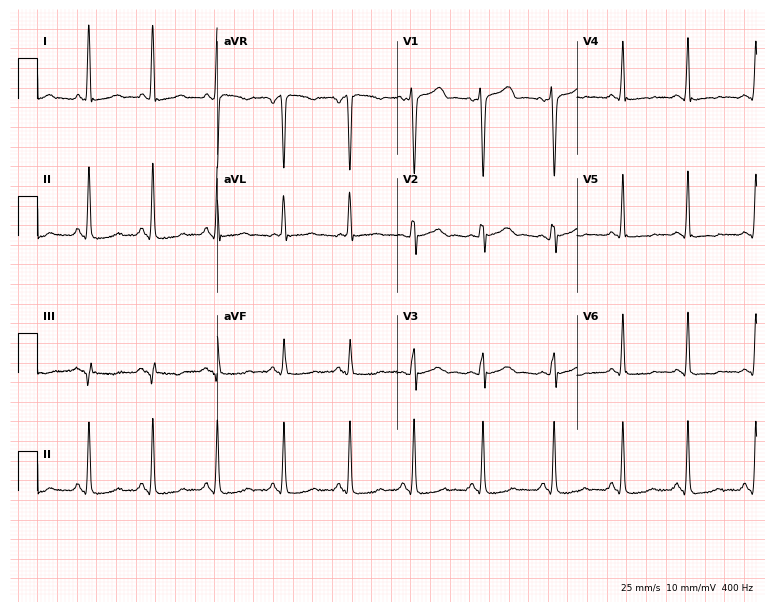
12-lead ECG from a 22-year-old female. Screened for six findings — first-degree AV block, right bundle branch block, left bundle branch block, sinus bradycardia, atrial fibrillation, sinus tachycardia — none is recorded. Only these six findings were labelled.